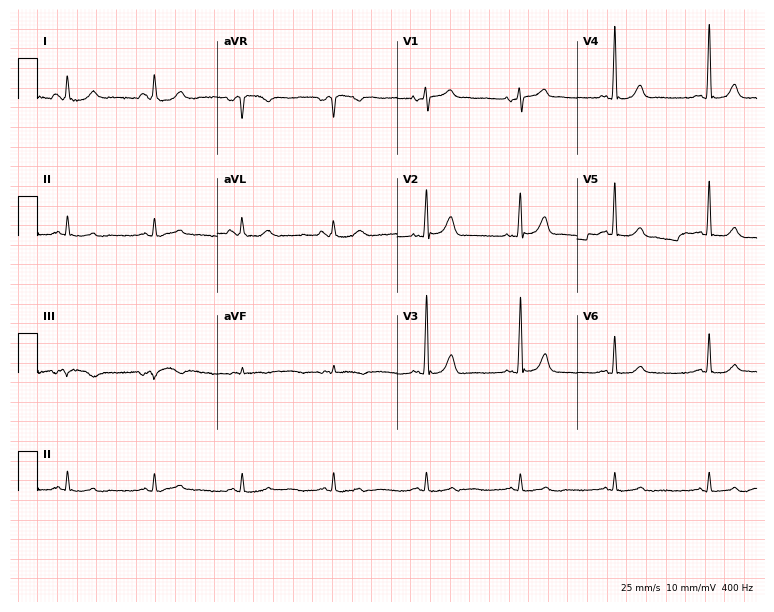
Resting 12-lead electrocardiogram. Patient: a man, 65 years old. None of these six findings is recorded: first-degree AV block, right bundle branch block (RBBB), left bundle branch block (LBBB), sinus bradycardia, atrial fibrillation (AF), sinus tachycardia. Other findings, if any, are not listed.